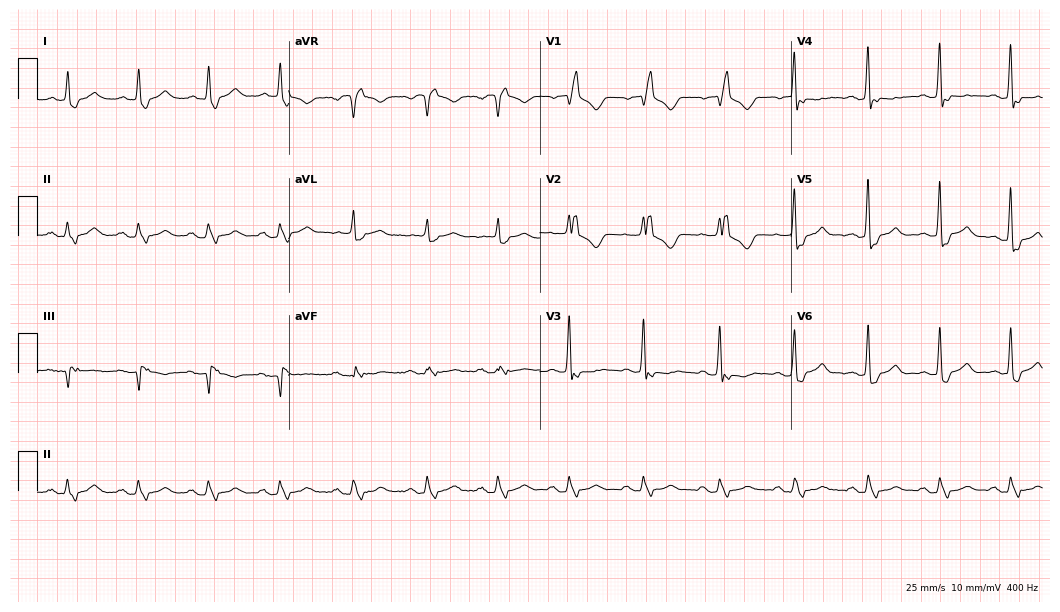
12-lead ECG (10.2-second recording at 400 Hz) from a man, 61 years old. Findings include right bundle branch block.